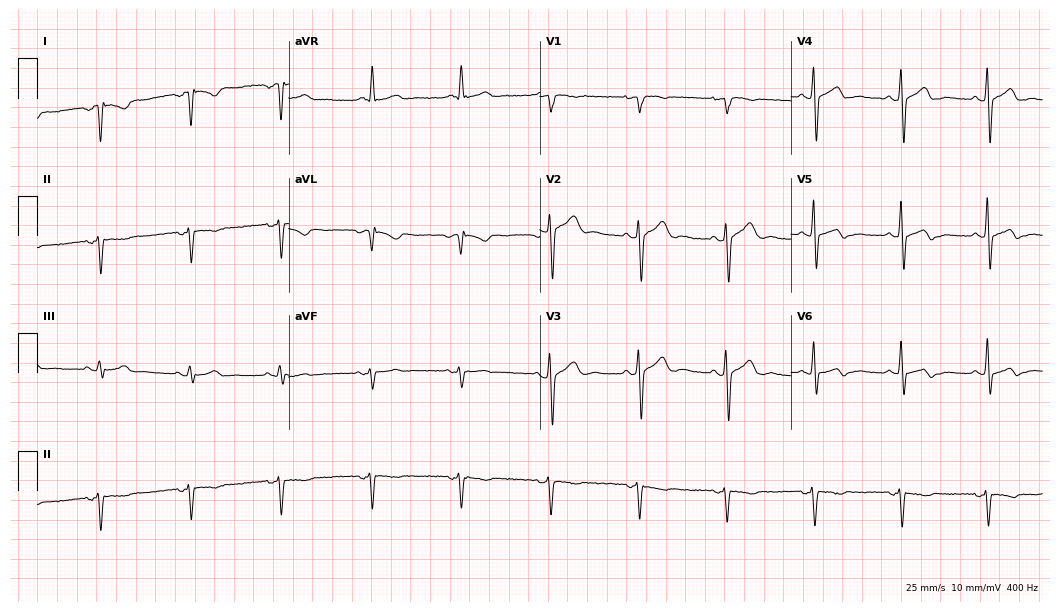
12-lead ECG from a male patient, 59 years old (10.2-second recording at 400 Hz). No first-degree AV block, right bundle branch block (RBBB), left bundle branch block (LBBB), sinus bradycardia, atrial fibrillation (AF) or sinus tachycardia recorded for this tracing.